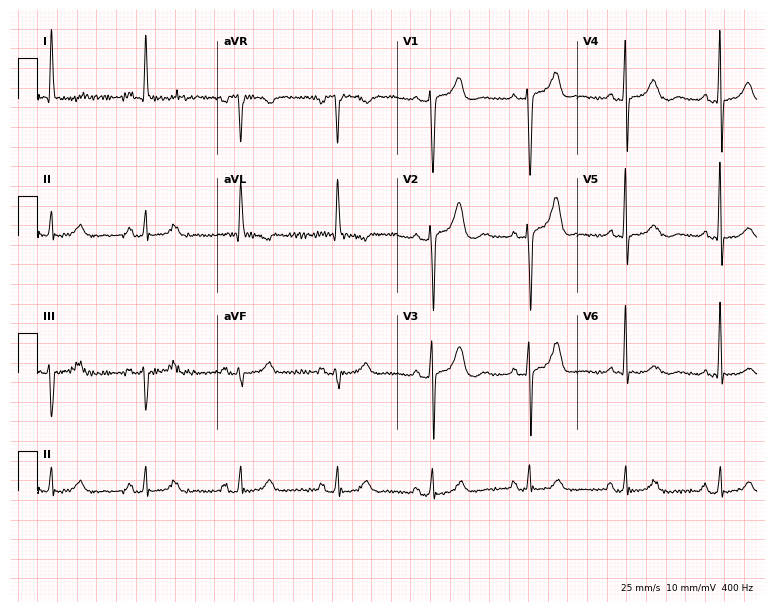
Standard 12-lead ECG recorded from a female, 75 years old (7.3-second recording at 400 Hz). None of these six findings is recorded: first-degree AV block, right bundle branch block (RBBB), left bundle branch block (LBBB), sinus bradycardia, atrial fibrillation (AF), sinus tachycardia.